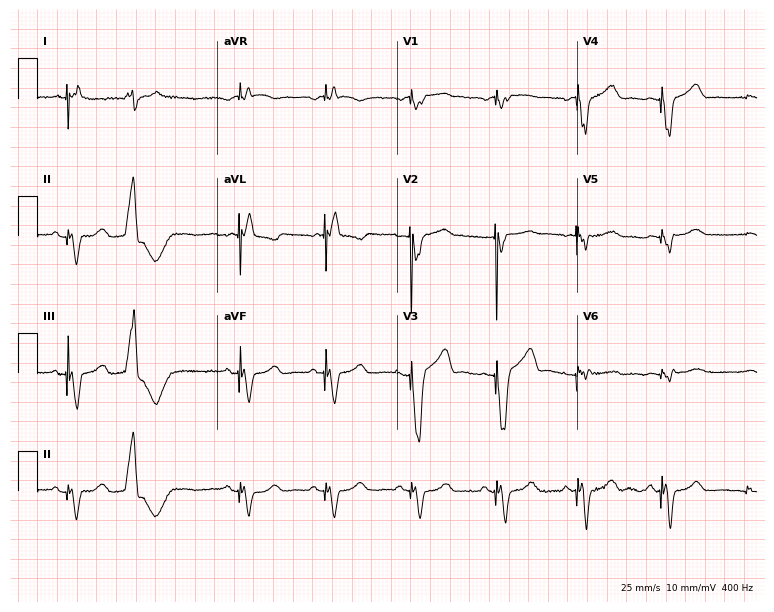
12-lead ECG from an 82-year-old female (7.3-second recording at 400 Hz). No first-degree AV block, right bundle branch block, left bundle branch block, sinus bradycardia, atrial fibrillation or sinus tachycardia recorded for this tracing.